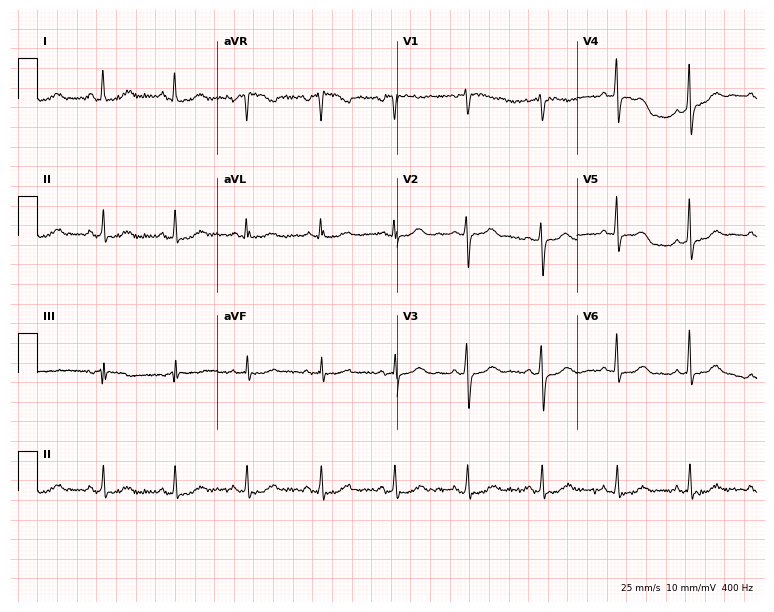
Standard 12-lead ECG recorded from a 59-year-old female patient. None of these six findings is recorded: first-degree AV block, right bundle branch block, left bundle branch block, sinus bradycardia, atrial fibrillation, sinus tachycardia. Findings outside these six are not listed.